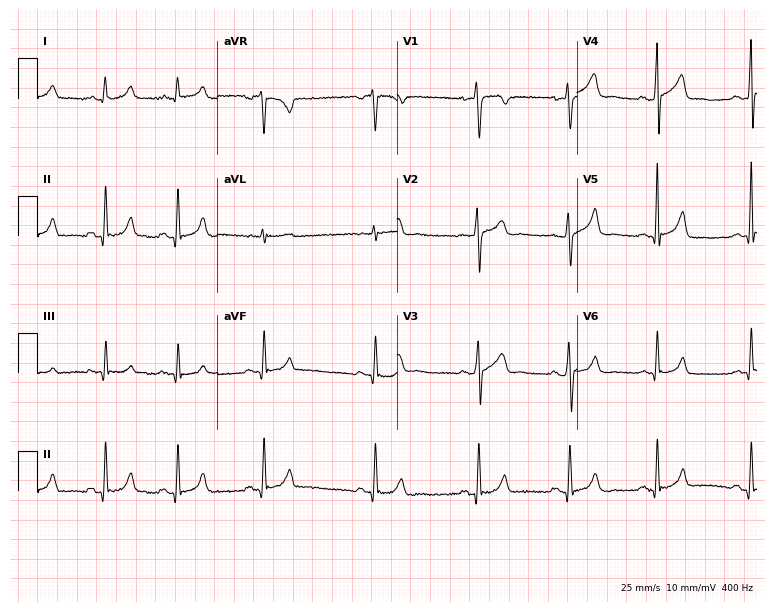
12-lead ECG from a male, 28 years old. Labelled as a normal ECG.